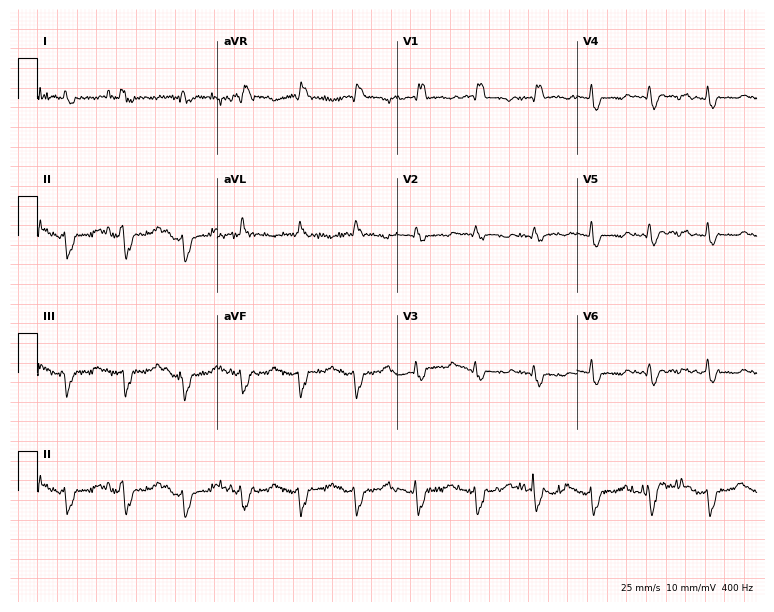
12-lead ECG (7.3-second recording at 400 Hz) from a 63-year-old woman. Screened for six findings — first-degree AV block, right bundle branch block (RBBB), left bundle branch block (LBBB), sinus bradycardia, atrial fibrillation (AF), sinus tachycardia — none is recorded. Only these six findings were labelled.